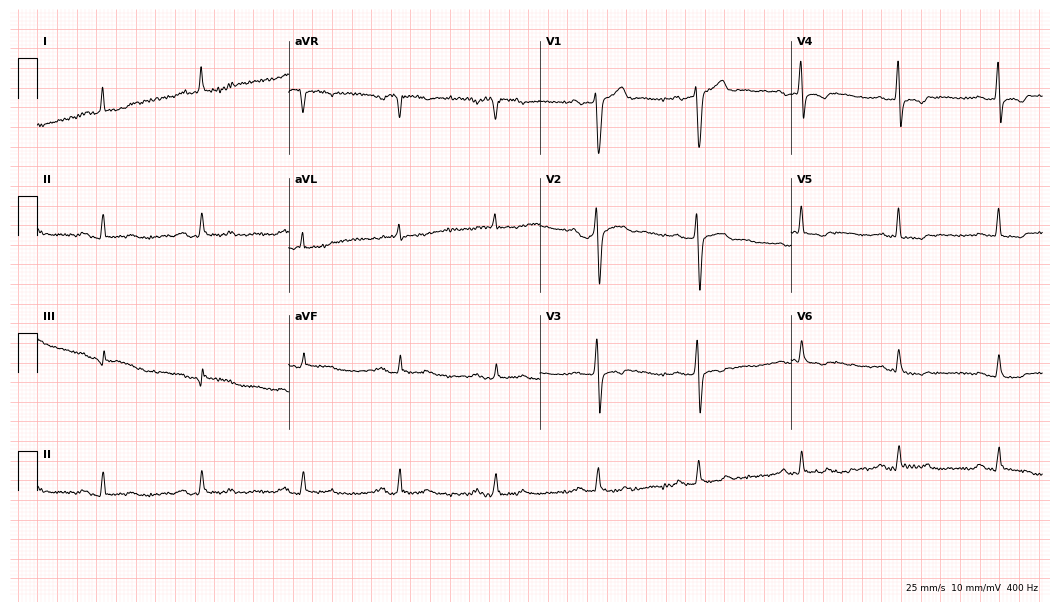
Resting 12-lead electrocardiogram (10.2-second recording at 400 Hz). Patient: a male, 53 years old. None of these six findings is recorded: first-degree AV block, right bundle branch block, left bundle branch block, sinus bradycardia, atrial fibrillation, sinus tachycardia.